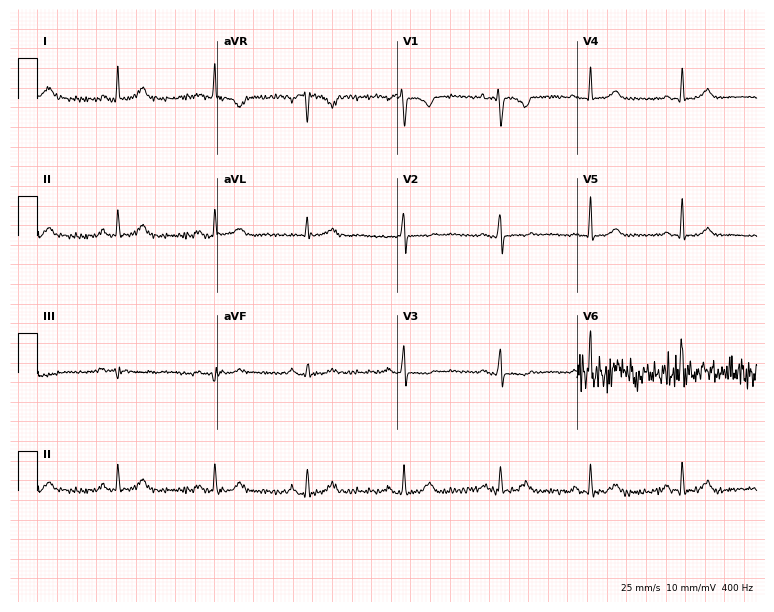
Electrocardiogram, a female, 37 years old. Of the six screened findings (first-degree AV block, right bundle branch block (RBBB), left bundle branch block (LBBB), sinus bradycardia, atrial fibrillation (AF), sinus tachycardia), none is recorded. Findings outside these six are not listed.